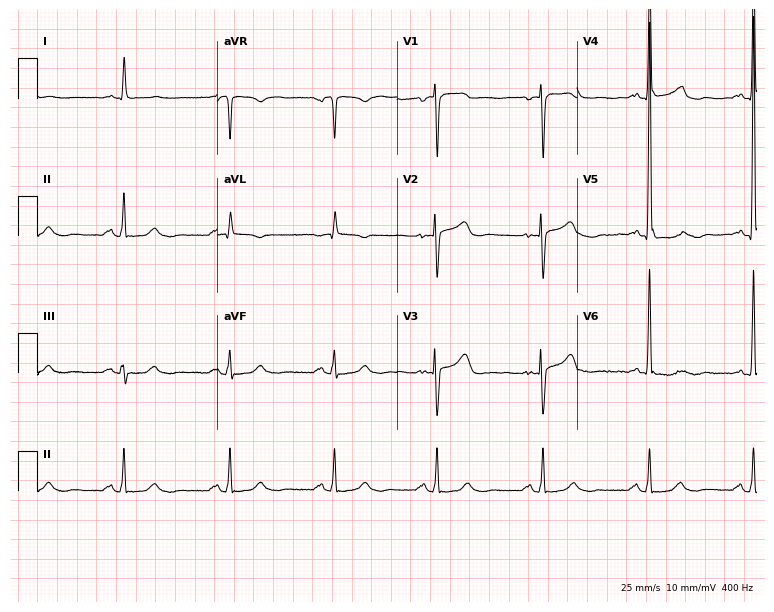
Standard 12-lead ECG recorded from an 83-year-old male patient. None of these six findings is recorded: first-degree AV block, right bundle branch block (RBBB), left bundle branch block (LBBB), sinus bradycardia, atrial fibrillation (AF), sinus tachycardia.